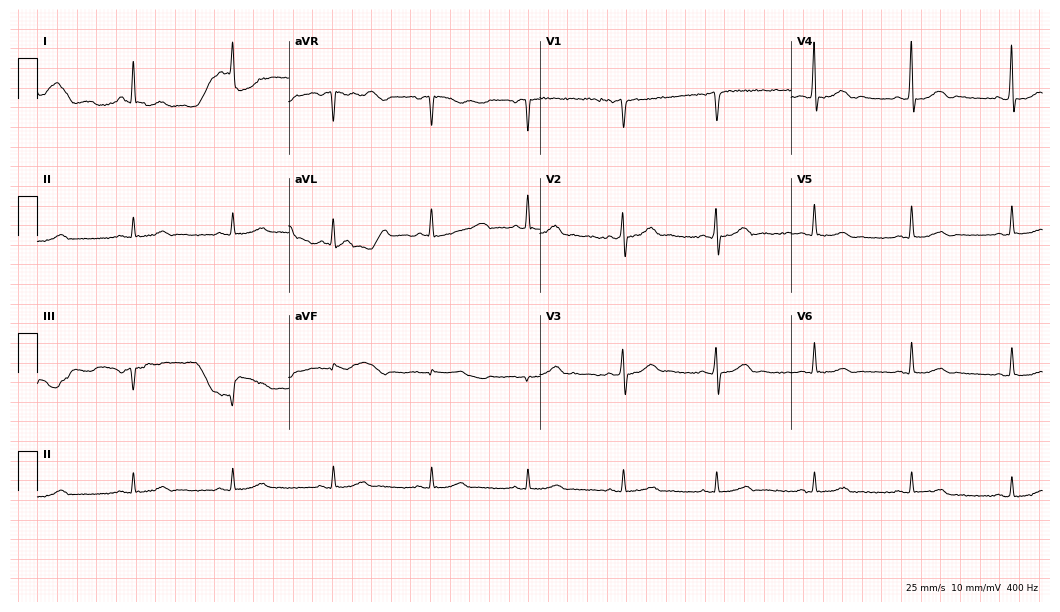
Standard 12-lead ECG recorded from an 84-year-old male (10.2-second recording at 400 Hz). Read as a normal ECG.